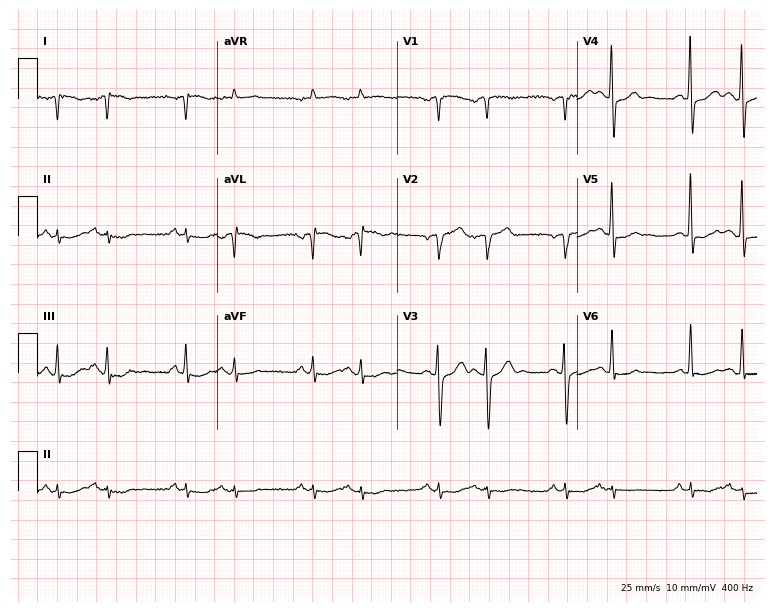
12-lead ECG from a male, 72 years old (7.3-second recording at 400 Hz). No first-degree AV block, right bundle branch block (RBBB), left bundle branch block (LBBB), sinus bradycardia, atrial fibrillation (AF) or sinus tachycardia recorded for this tracing. Other findings, if any, are not listed.